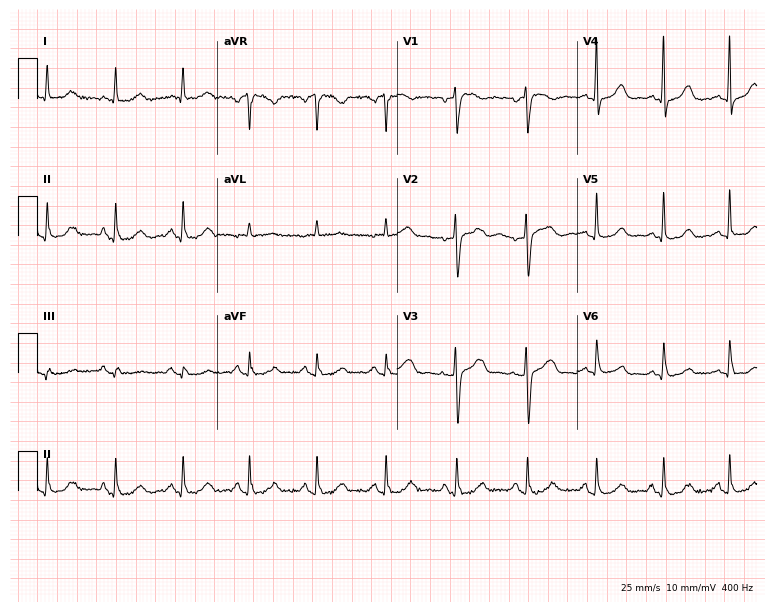
Standard 12-lead ECG recorded from a female, 63 years old (7.3-second recording at 400 Hz). Read as a normal ECG.